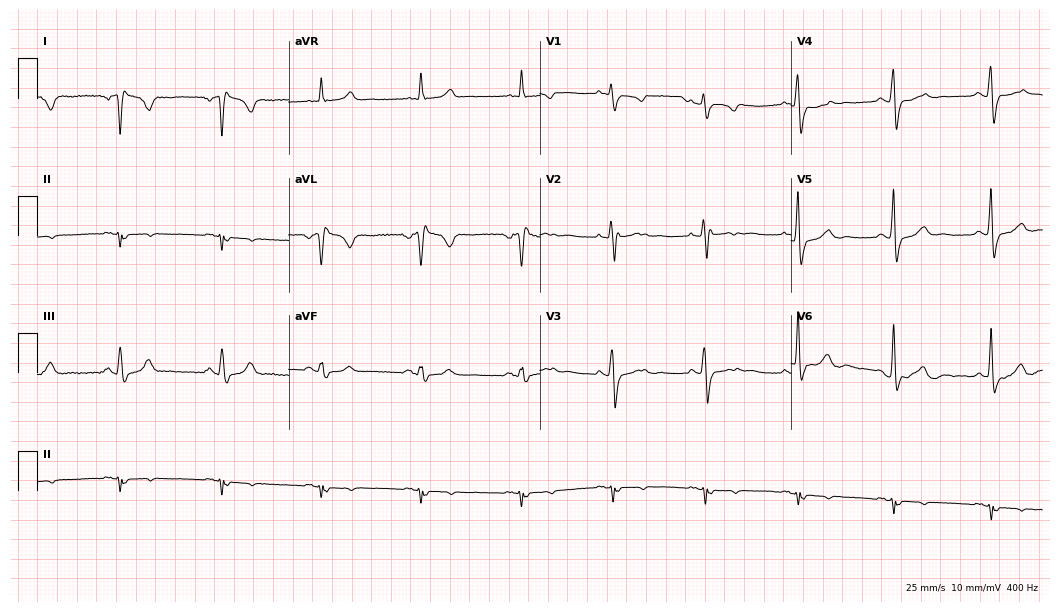
Resting 12-lead electrocardiogram (10.2-second recording at 400 Hz). Patient: a 54-year-old male. None of these six findings is recorded: first-degree AV block, right bundle branch block, left bundle branch block, sinus bradycardia, atrial fibrillation, sinus tachycardia.